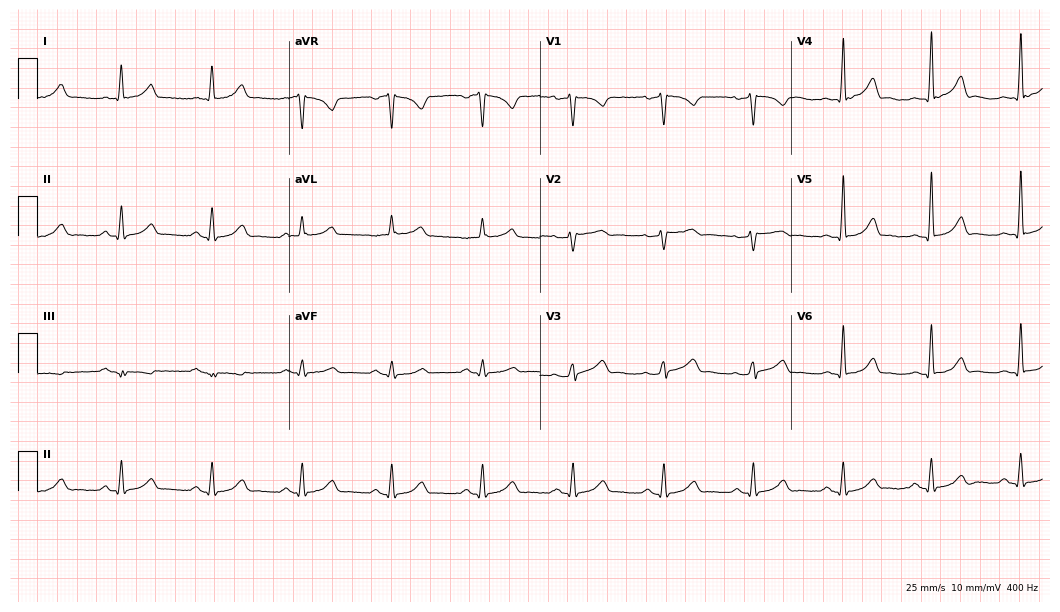
Standard 12-lead ECG recorded from a woman, 43 years old. Read as a normal ECG.